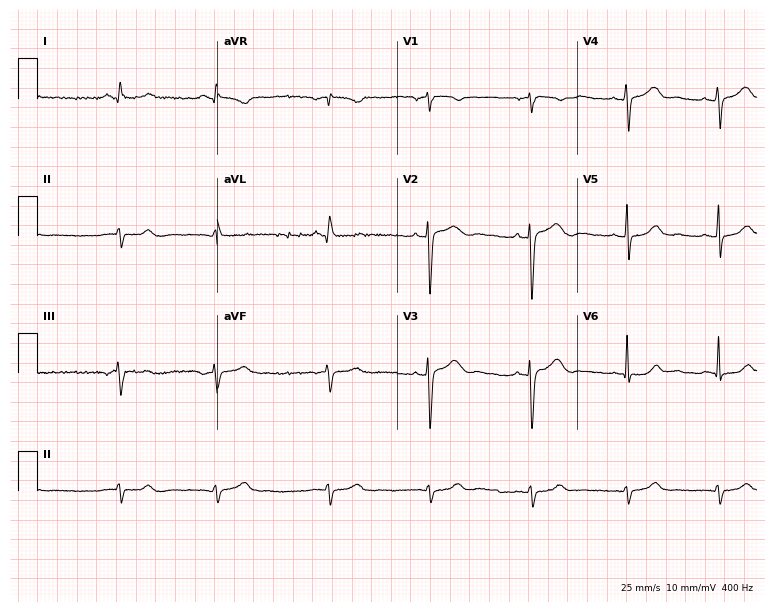
ECG (7.3-second recording at 400 Hz) — a female patient, 38 years old. Screened for six findings — first-degree AV block, right bundle branch block, left bundle branch block, sinus bradycardia, atrial fibrillation, sinus tachycardia — none is recorded.